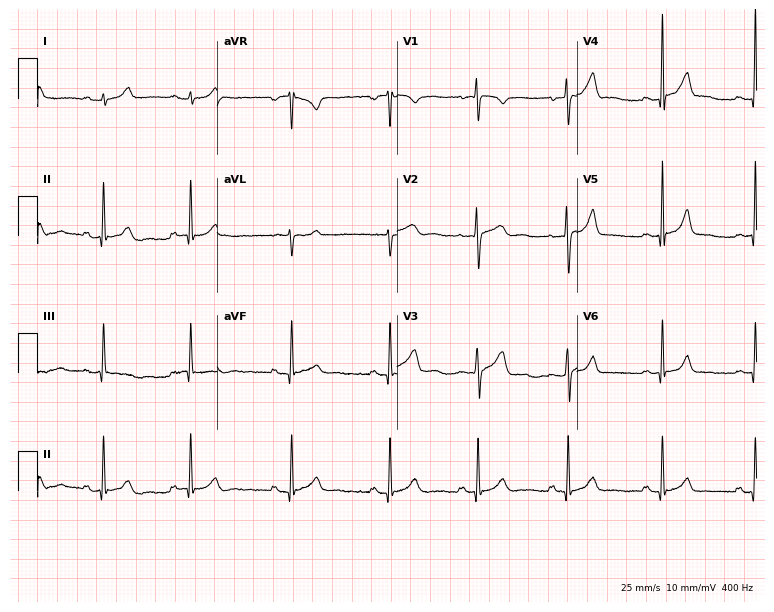
Resting 12-lead electrocardiogram. Patient: a 21-year-old woman. None of these six findings is recorded: first-degree AV block, right bundle branch block, left bundle branch block, sinus bradycardia, atrial fibrillation, sinus tachycardia. Only these six findings were labelled.